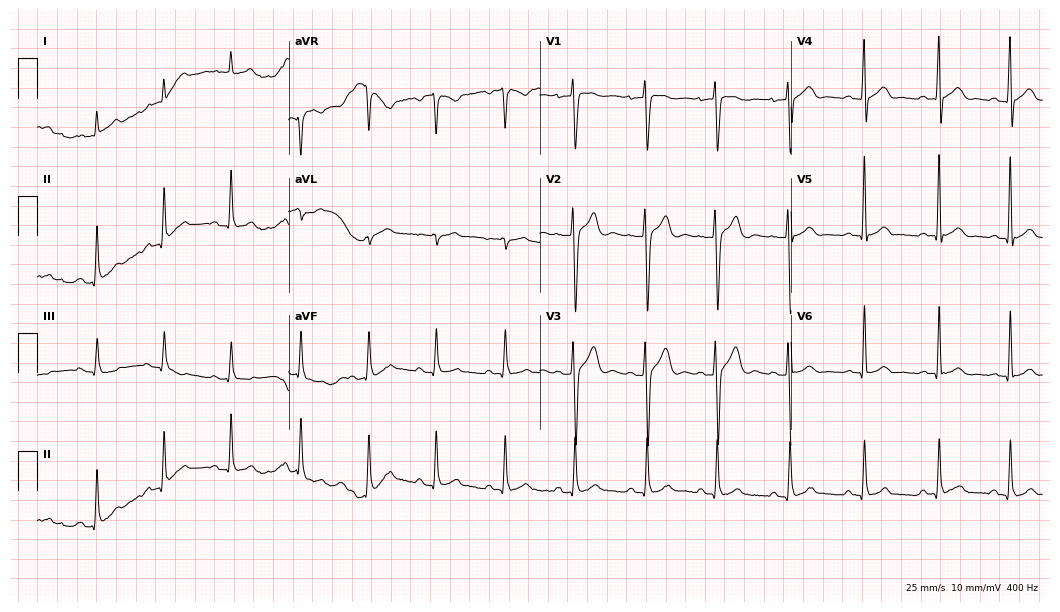
12-lead ECG from a 19-year-old male patient. Recorded interpretation: within normal limits.